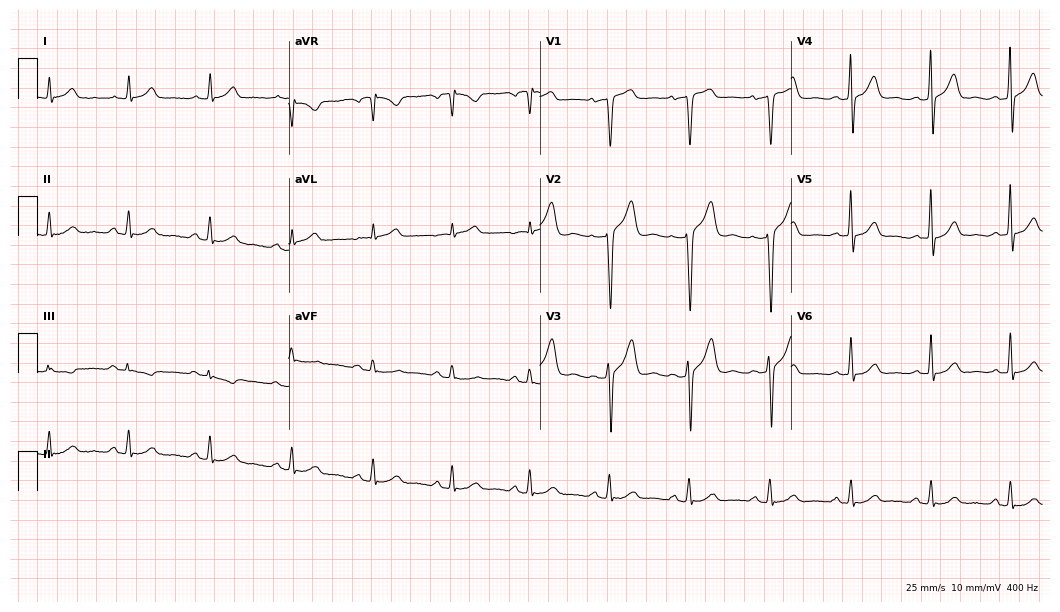
Standard 12-lead ECG recorded from a man, 53 years old (10.2-second recording at 400 Hz). None of these six findings is recorded: first-degree AV block, right bundle branch block (RBBB), left bundle branch block (LBBB), sinus bradycardia, atrial fibrillation (AF), sinus tachycardia. Findings outside these six are not listed.